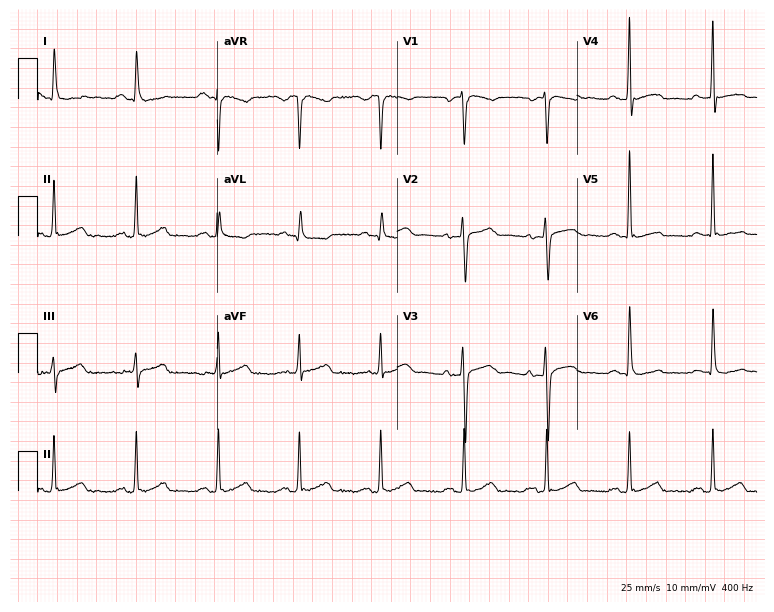
Resting 12-lead electrocardiogram. Patient: a 42-year-old male. Read as a normal ECG.